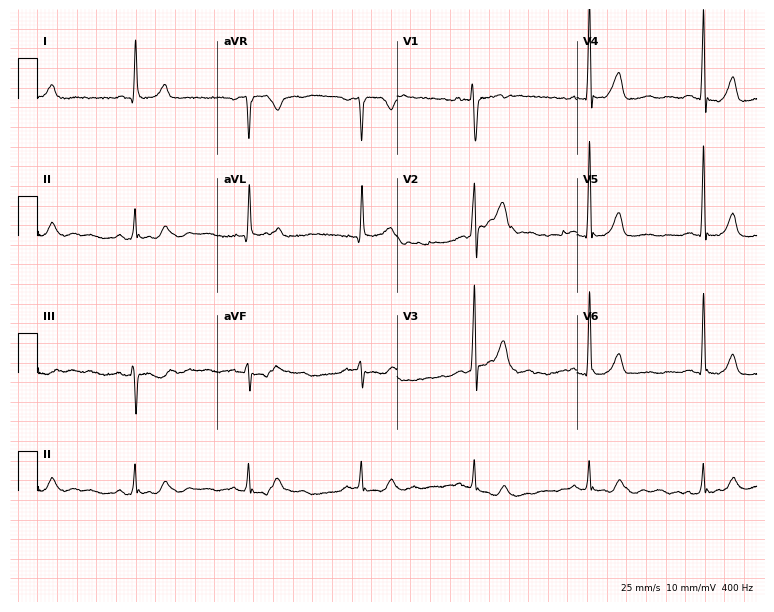
Electrocardiogram (7.3-second recording at 400 Hz), a male, 73 years old. Overall reading on record: normal ECG.